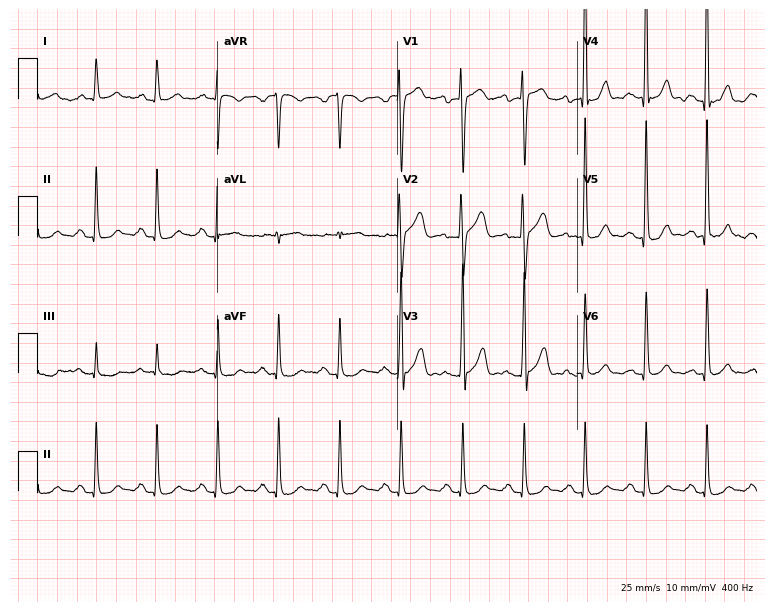
Electrocardiogram, a male, 67 years old. Overall reading on record: normal ECG.